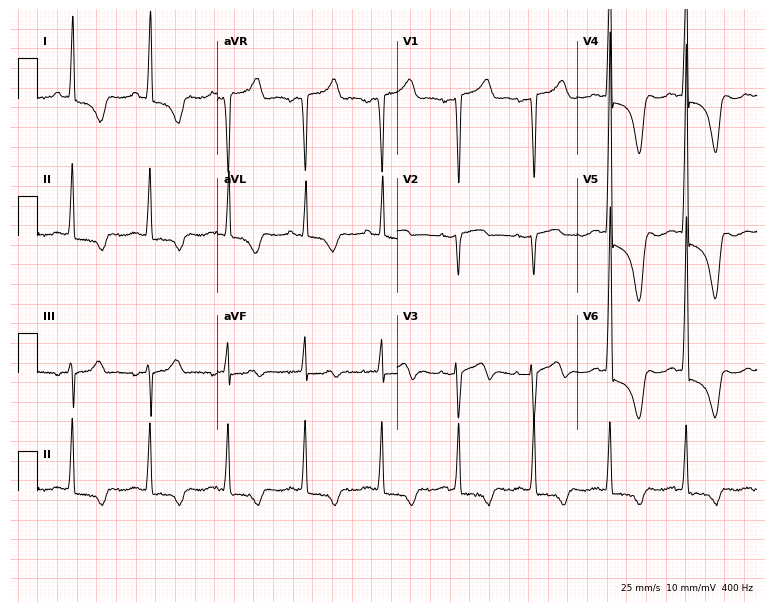
12-lead ECG (7.3-second recording at 400 Hz) from a woman, 54 years old. Screened for six findings — first-degree AV block, right bundle branch block, left bundle branch block, sinus bradycardia, atrial fibrillation, sinus tachycardia — none is recorded. Other findings, if any, are not listed.